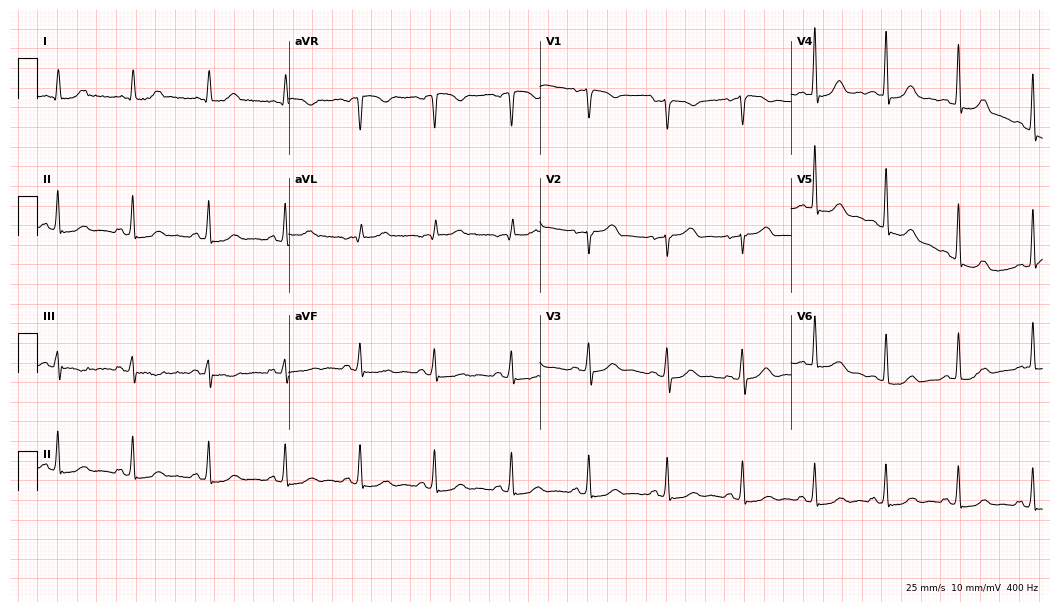
ECG (10.2-second recording at 400 Hz) — a female, 52 years old. Screened for six findings — first-degree AV block, right bundle branch block, left bundle branch block, sinus bradycardia, atrial fibrillation, sinus tachycardia — none is recorded. Findings outside these six are not listed.